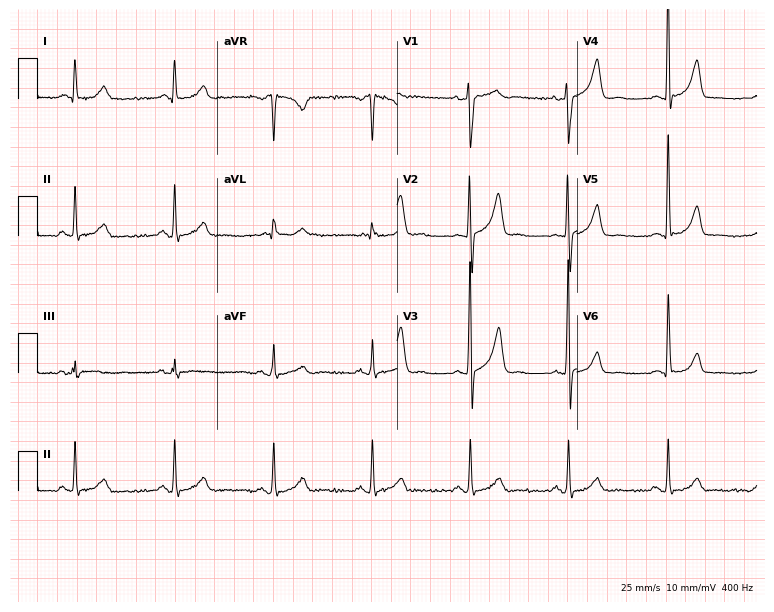
Resting 12-lead electrocardiogram (7.3-second recording at 400 Hz). Patient: a 57-year-old male. None of these six findings is recorded: first-degree AV block, right bundle branch block, left bundle branch block, sinus bradycardia, atrial fibrillation, sinus tachycardia.